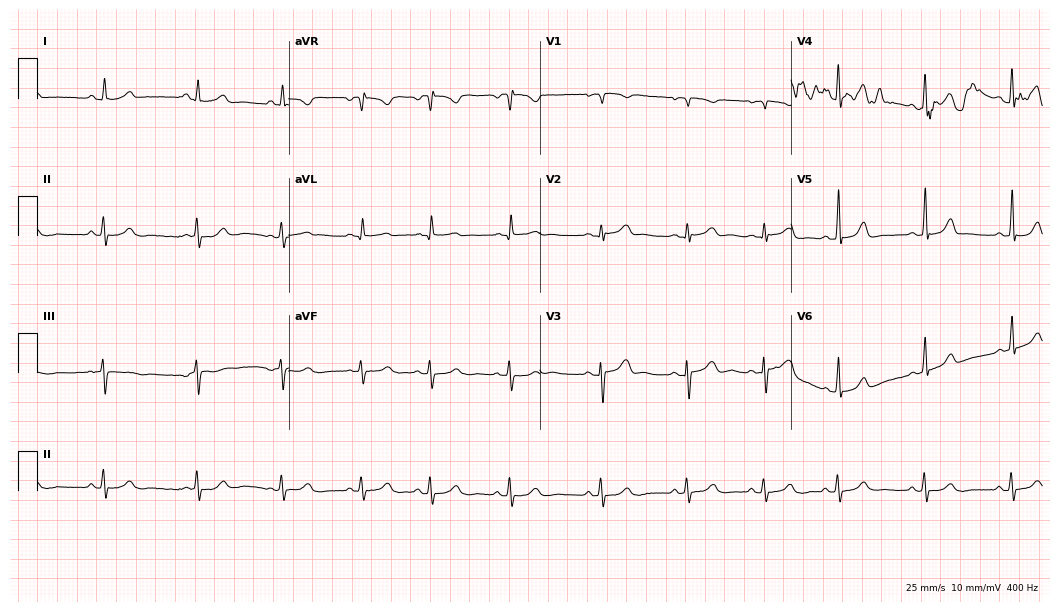
Standard 12-lead ECG recorded from a female patient, 17 years old. Read as a normal ECG.